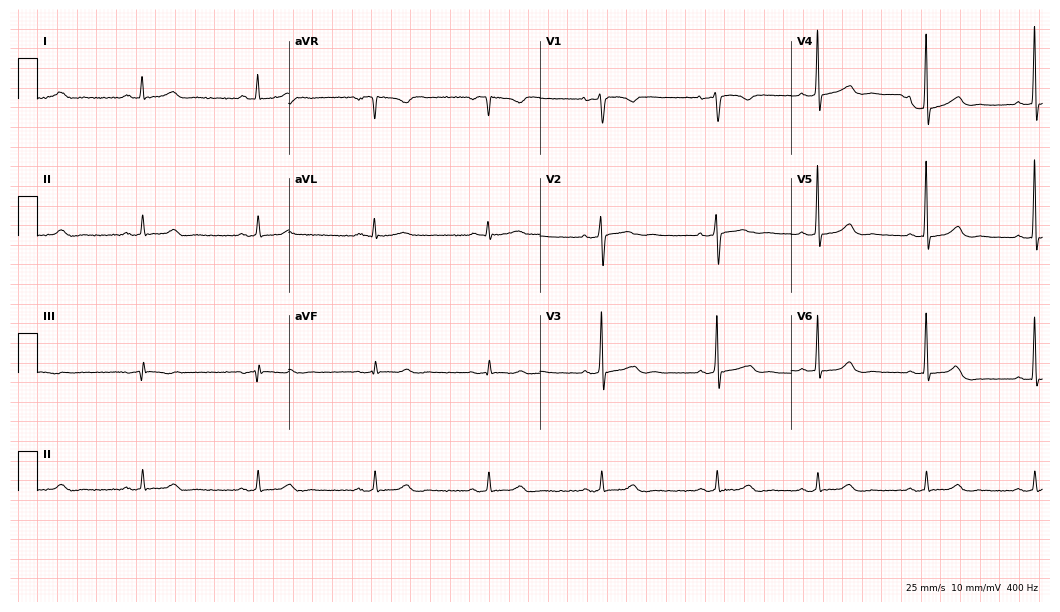
ECG — a 50-year-old female patient. Screened for six findings — first-degree AV block, right bundle branch block, left bundle branch block, sinus bradycardia, atrial fibrillation, sinus tachycardia — none is recorded. Only these six findings were labelled.